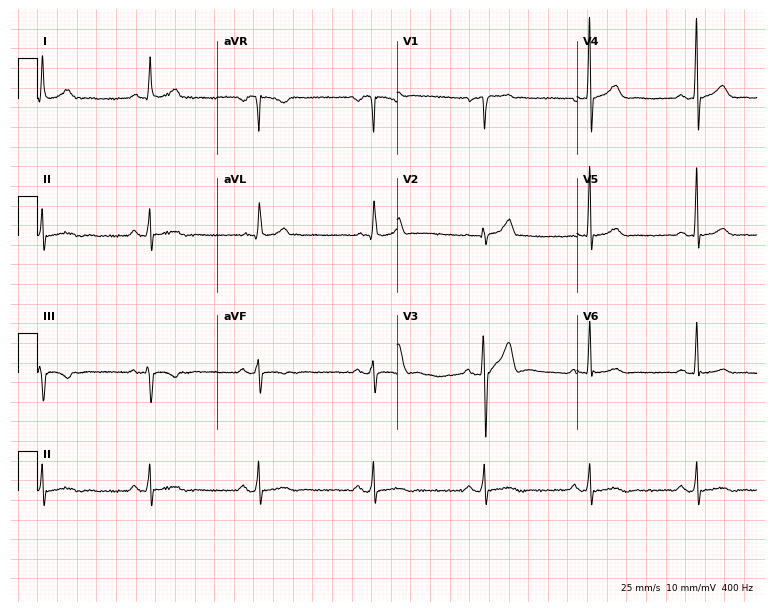
Standard 12-lead ECG recorded from a man, 48 years old. Read as a normal ECG.